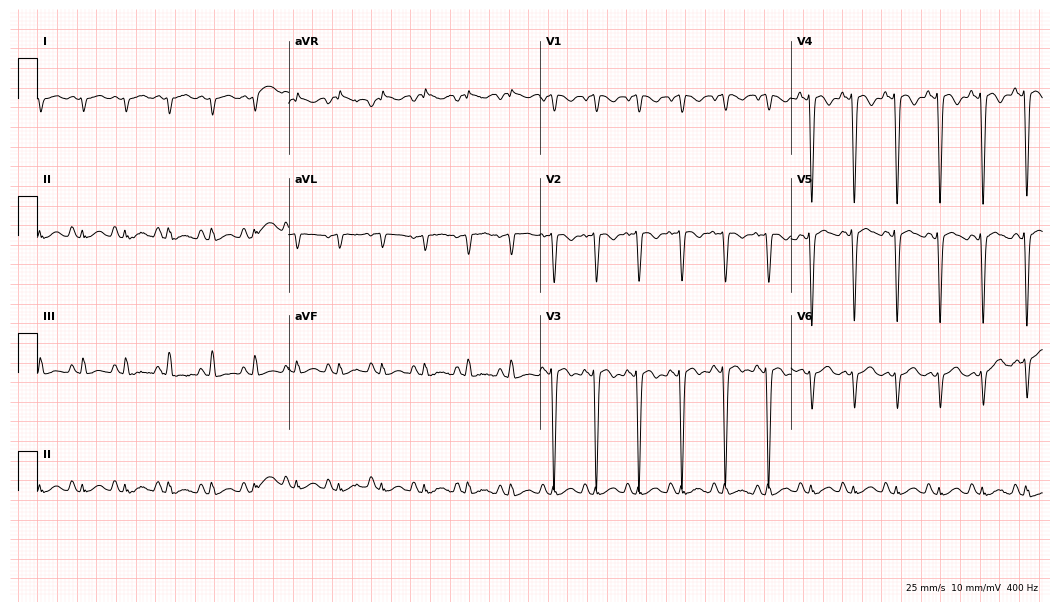
Standard 12-lead ECG recorded from a 71-year-old male (10.2-second recording at 400 Hz). The tracing shows sinus tachycardia (a sinus rate of 100 beats per minute or more).